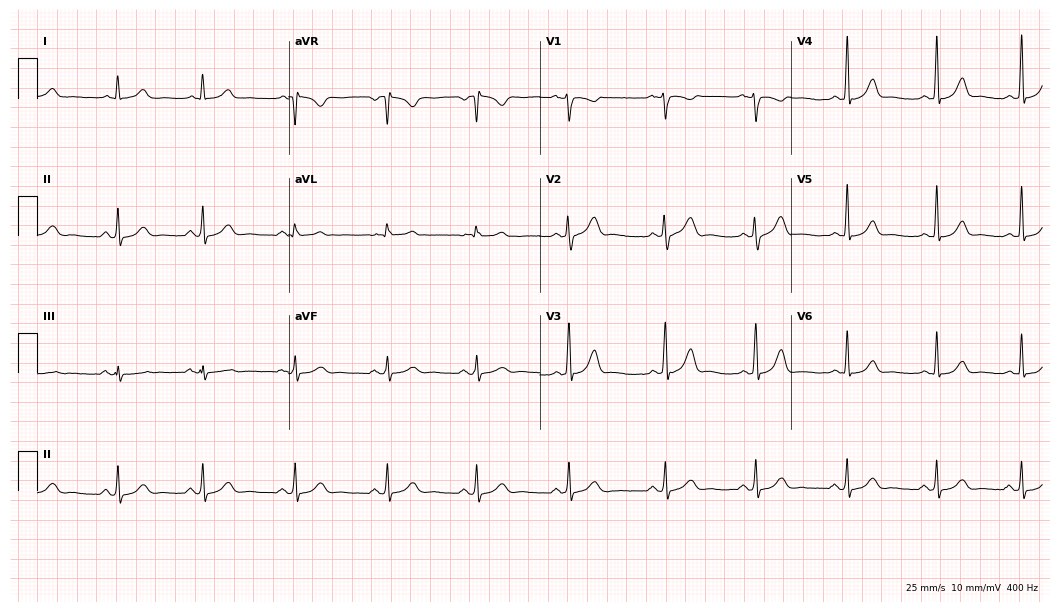
ECG (10.2-second recording at 400 Hz) — a 30-year-old woman. Labelled as a normal ECG.